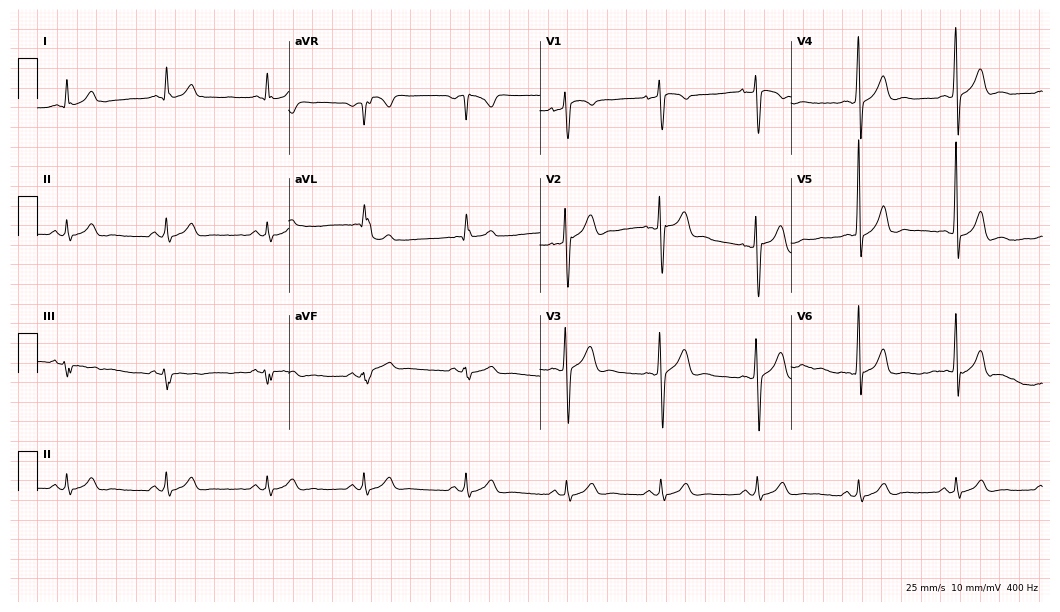
Standard 12-lead ECG recorded from an 84-year-old woman. Read as a normal ECG.